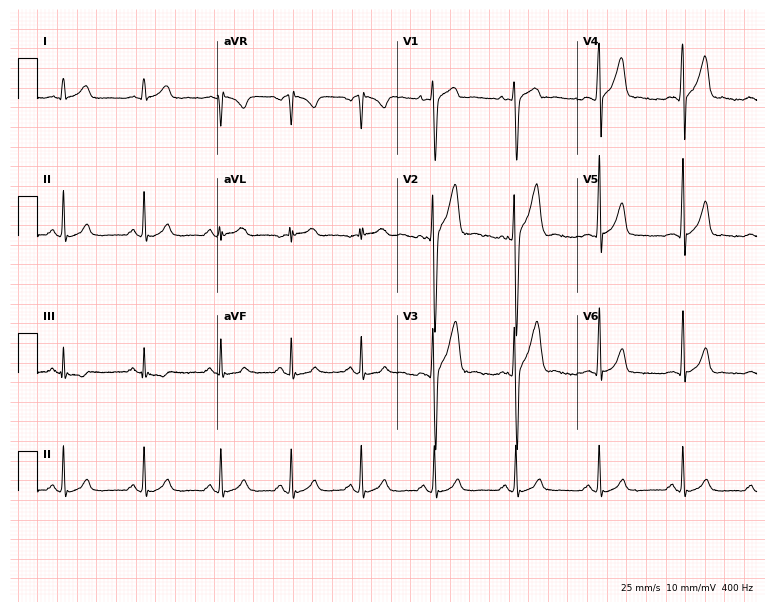
Standard 12-lead ECG recorded from a 27-year-old male (7.3-second recording at 400 Hz). None of these six findings is recorded: first-degree AV block, right bundle branch block (RBBB), left bundle branch block (LBBB), sinus bradycardia, atrial fibrillation (AF), sinus tachycardia. Other findings, if any, are not listed.